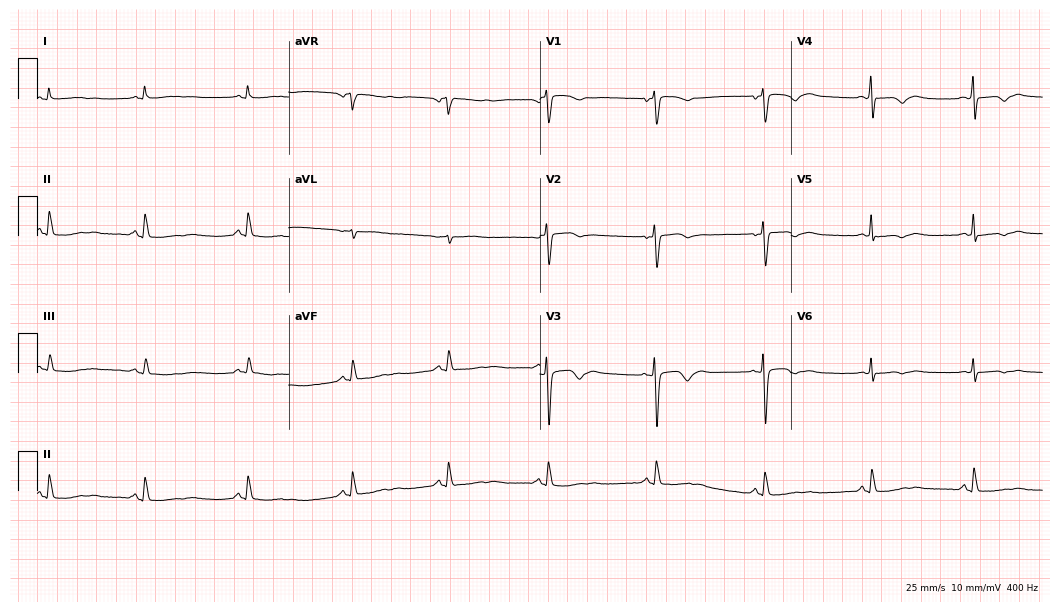
12-lead ECG from a female, 54 years old (10.2-second recording at 400 Hz). No first-degree AV block, right bundle branch block, left bundle branch block, sinus bradycardia, atrial fibrillation or sinus tachycardia recorded for this tracing. Findings outside these six are not listed.